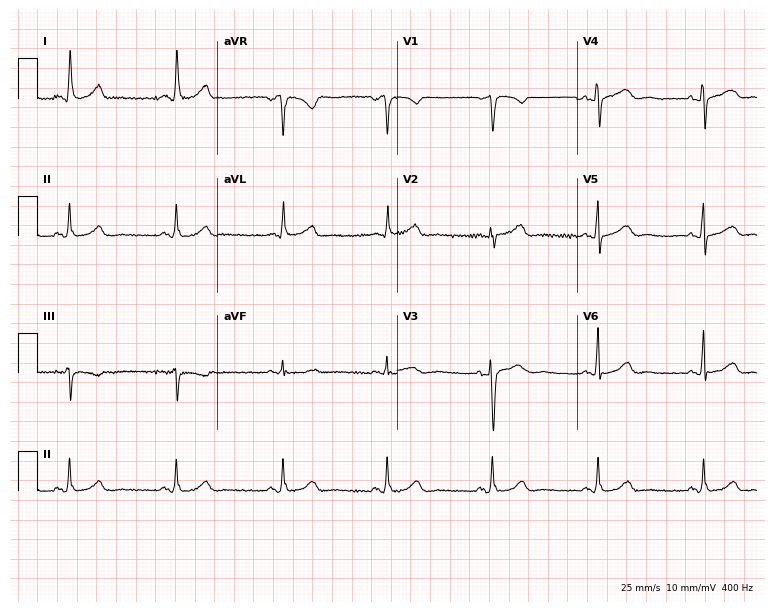
Electrocardiogram (7.3-second recording at 400 Hz), a female patient, 49 years old. Overall reading on record: normal ECG.